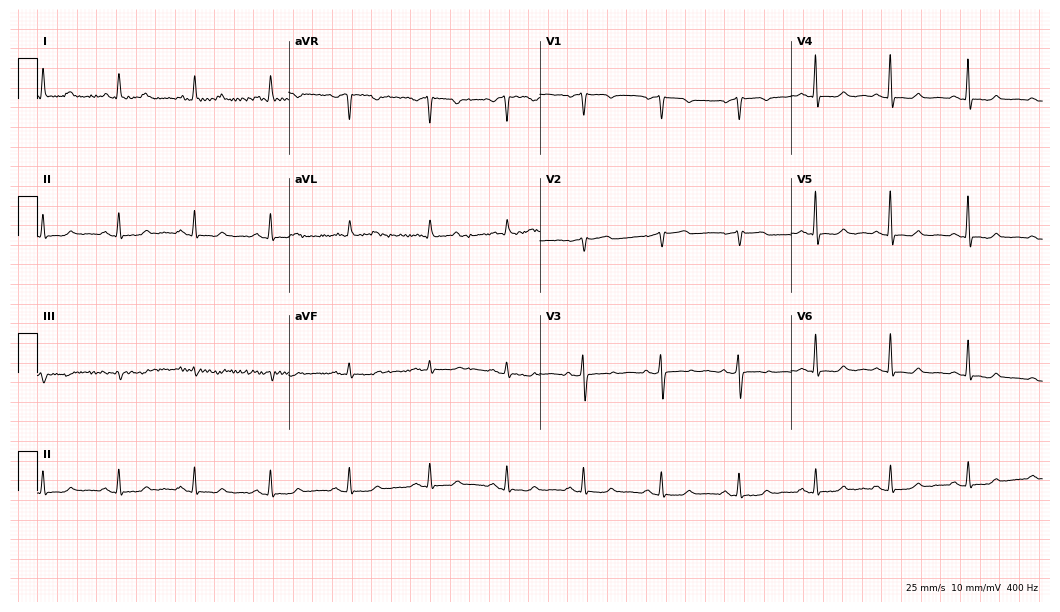
12-lead ECG from a 67-year-old woman (10.2-second recording at 400 Hz). Recorded interpretation: within normal limits.